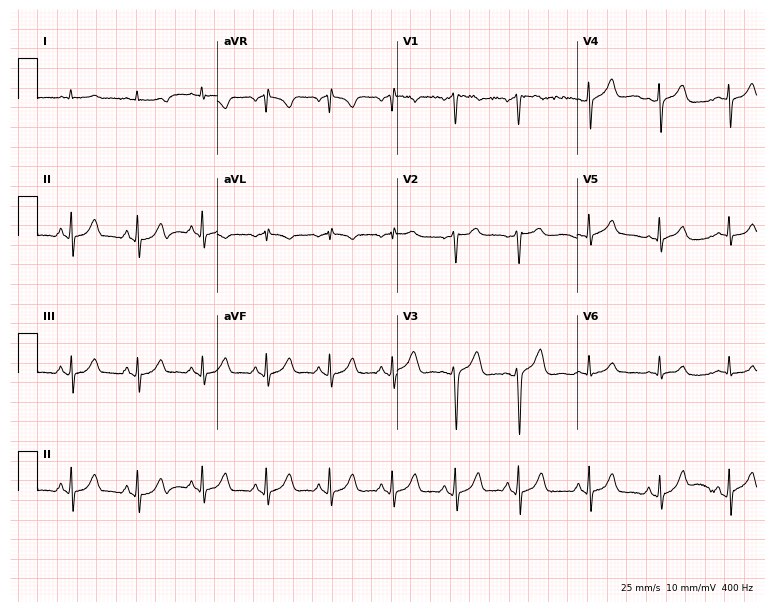
Standard 12-lead ECG recorded from a male patient, 55 years old (7.3-second recording at 400 Hz). None of these six findings is recorded: first-degree AV block, right bundle branch block, left bundle branch block, sinus bradycardia, atrial fibrillation, sinus tachycardia.